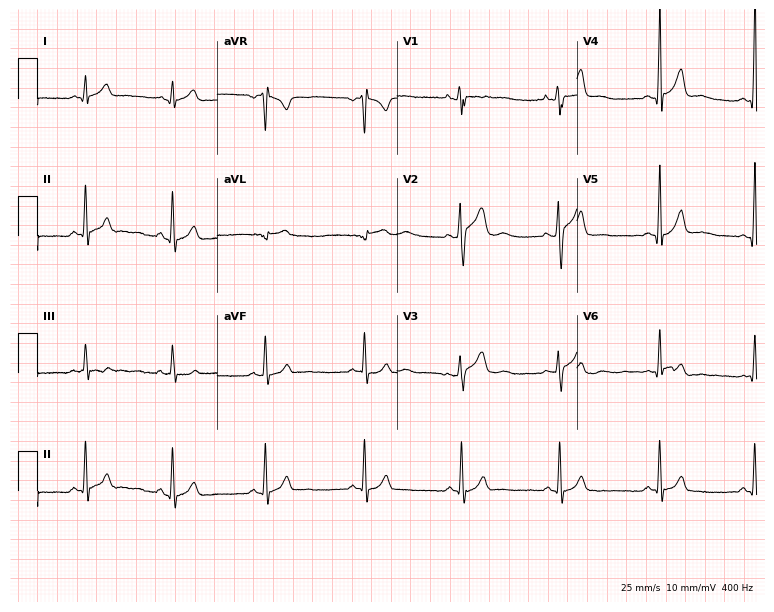
ECG — a 23-year-old man. Labelled as a normal ECG.